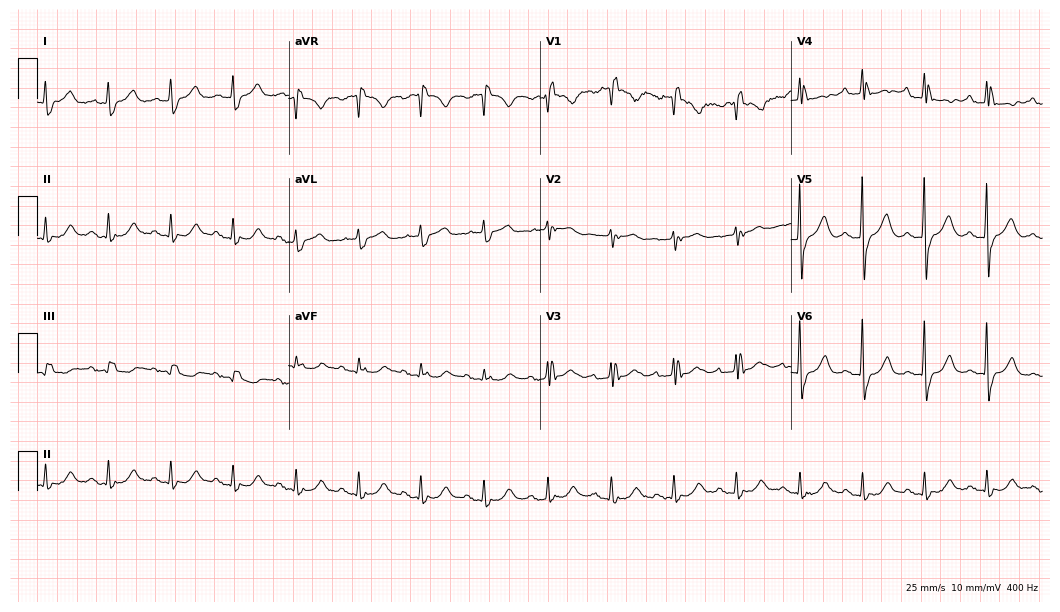
Standard 12-lead ECG recorded from a 78-year-old woman (10.2-second recording at 400 Hz). The tracing shows right bundle branch block.